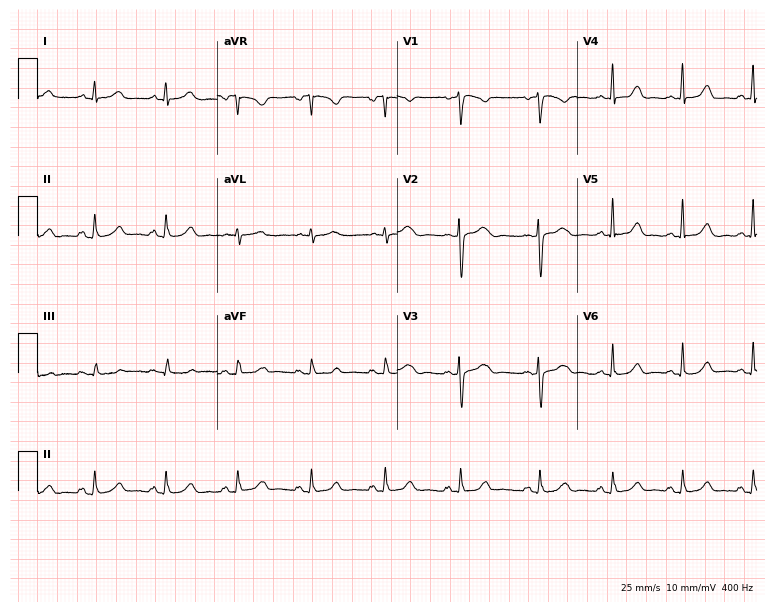
Standard 12-lead ECG recorded from a 36-year-old female. Read as a normal ECG.